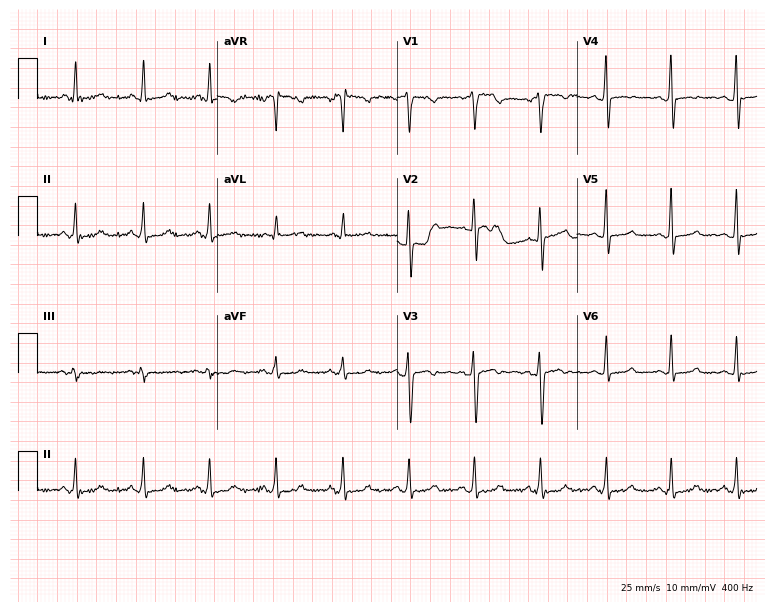
Resting 12-lead electrocardiogram. Patient: a 32-year-old woman. None of these six findings is recorded: first-degree AV block, right bundle branch block, left bundle branch block, sinus bradycardia, atrial fibrillation, sinus tachycardia.